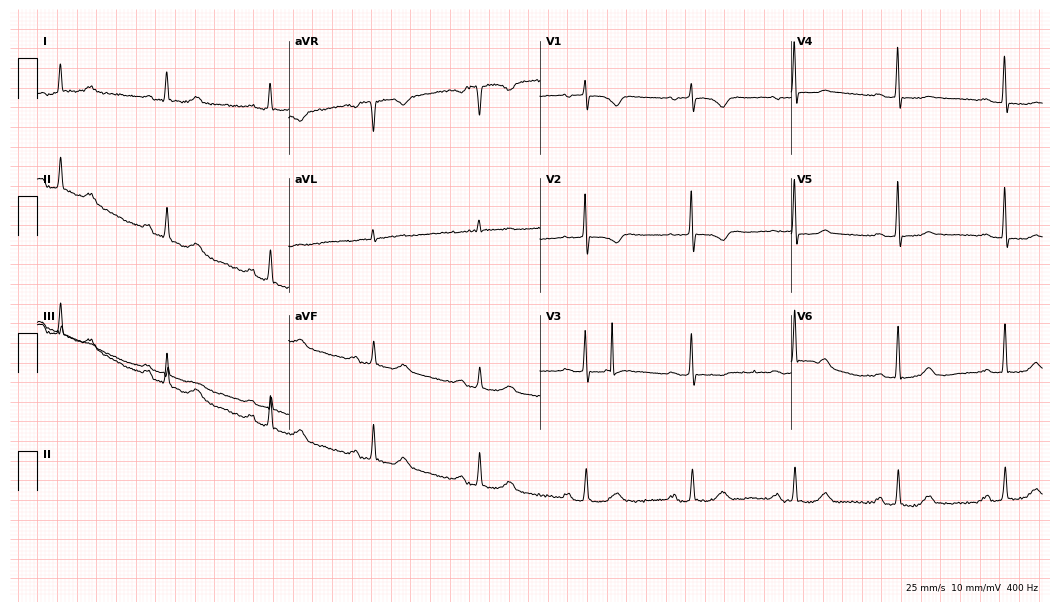
Standard 12-lead ECG recorded from an 80-year-old woman. None of these six findings is recorded: first-degree AV block, right bundle branch block, left bundle branch block, sinus bradycardia, atrial fibrillation, sinus tachycardia.